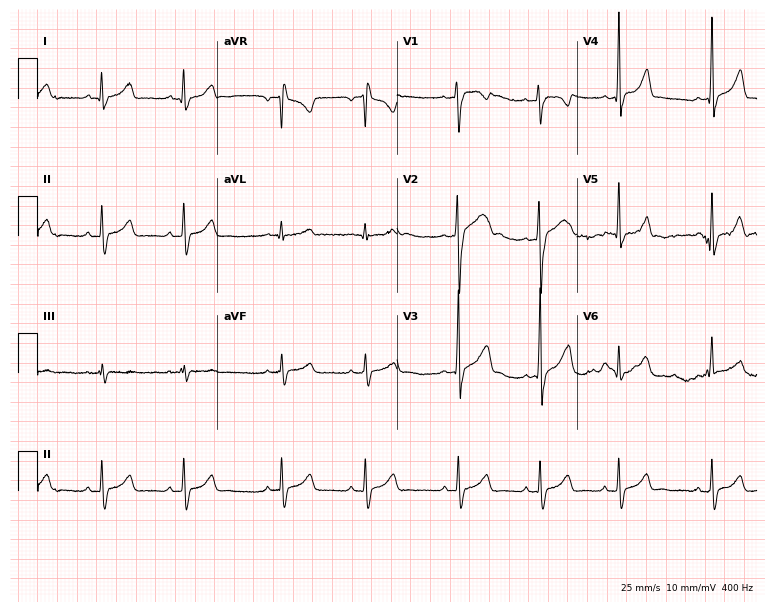
Resting 12-lead electrocardiogram. Patient: a male, 17 years old. Read as a normal ECG.